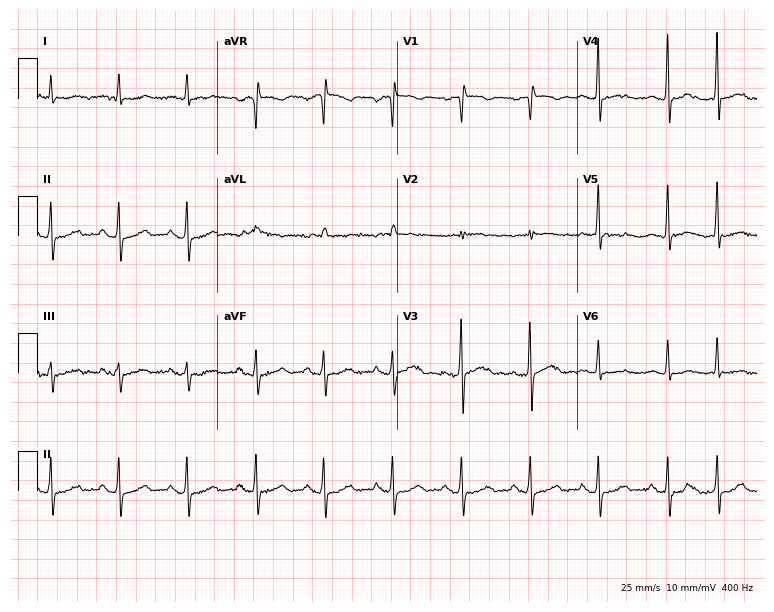
12-lead ECG from a male patient, 82 years old. No first-degree AV block, right bundle branch block, left bundle branch block, sinus bradycardia, atrial fibrillation or sinus tachycardia recorded for this tracing.